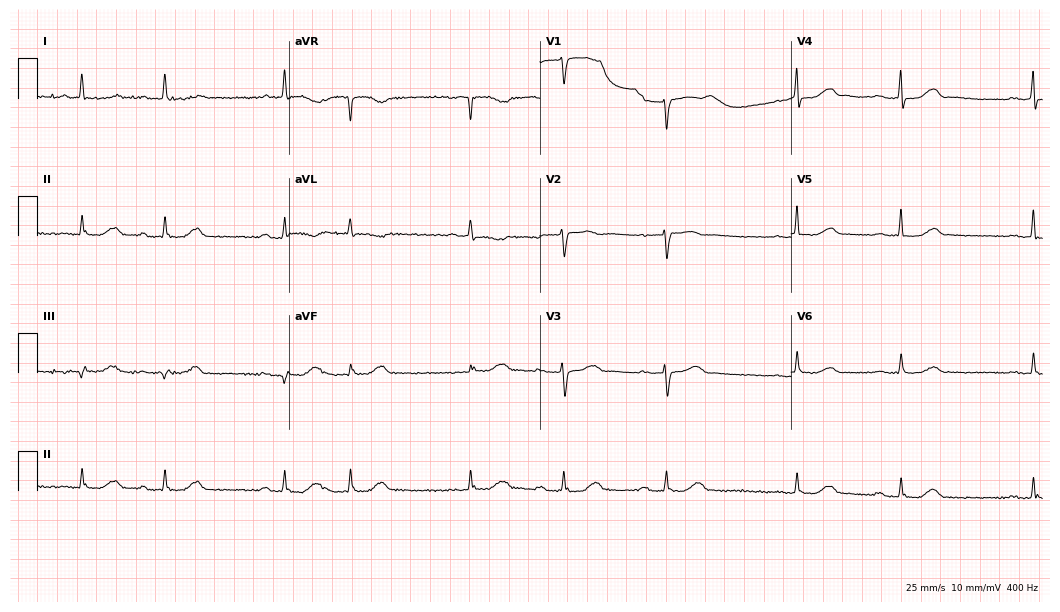
Electrocardiogram, a 75-year-old woman. Interpretation includes first-degree AV block.